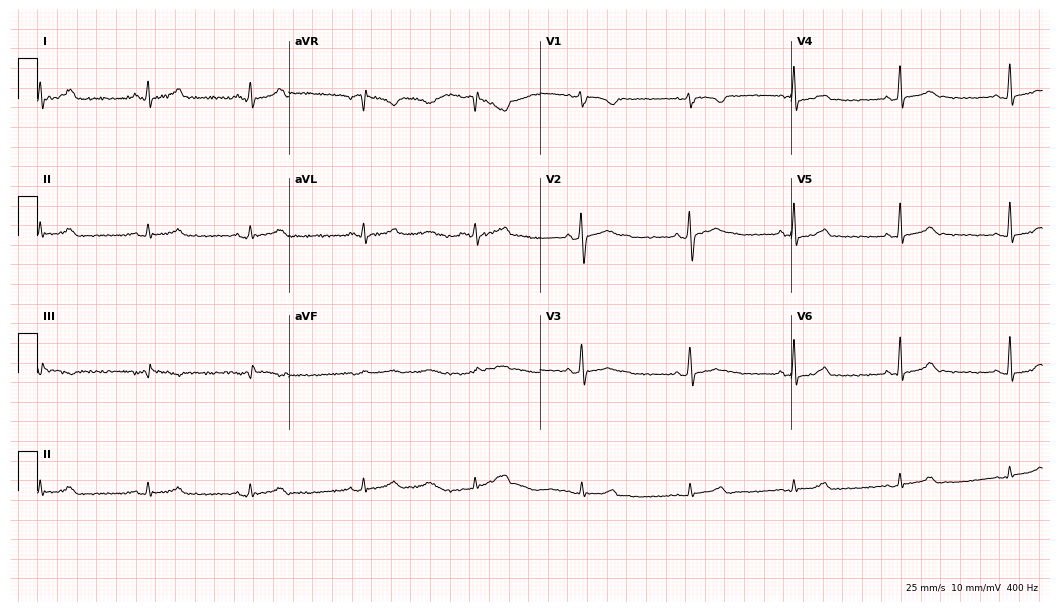
12-lead ECG from a 37-year-old man (10.2-second recording at 400 Hz). Recorded interpretation: within normal limits.